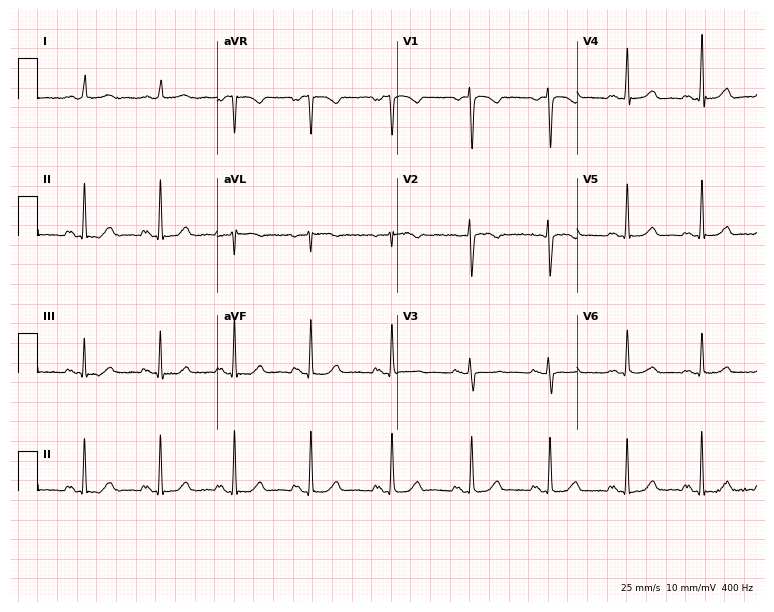
Electrocardiogram (7.3-second recording at 400 Hz), a 42-year-old female. Overall reading on record: normal ECG.